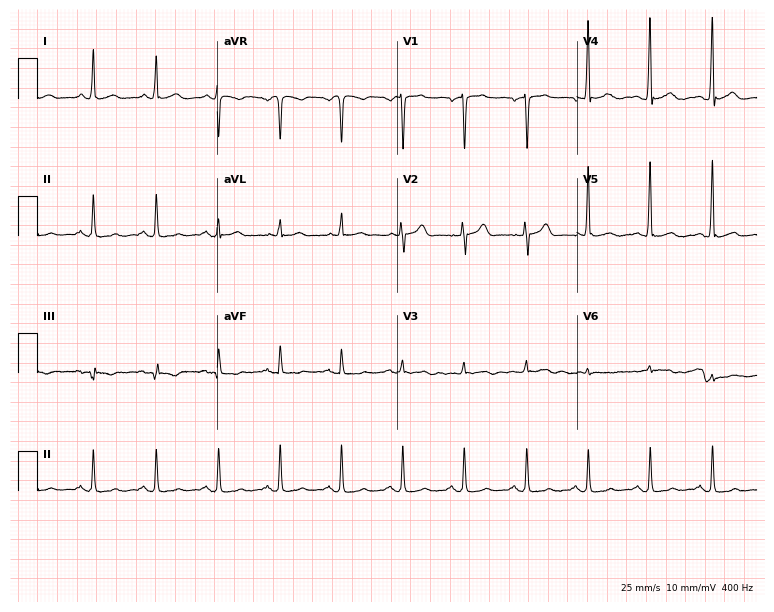
Electrocardiogram, a 45-year-old male. Of the six screened findings (first-degree AV block, right bundle branch block, left bundle branch block, sinus bradycardia, atrial fibrillation, sinus tachycardia), none is recorded.